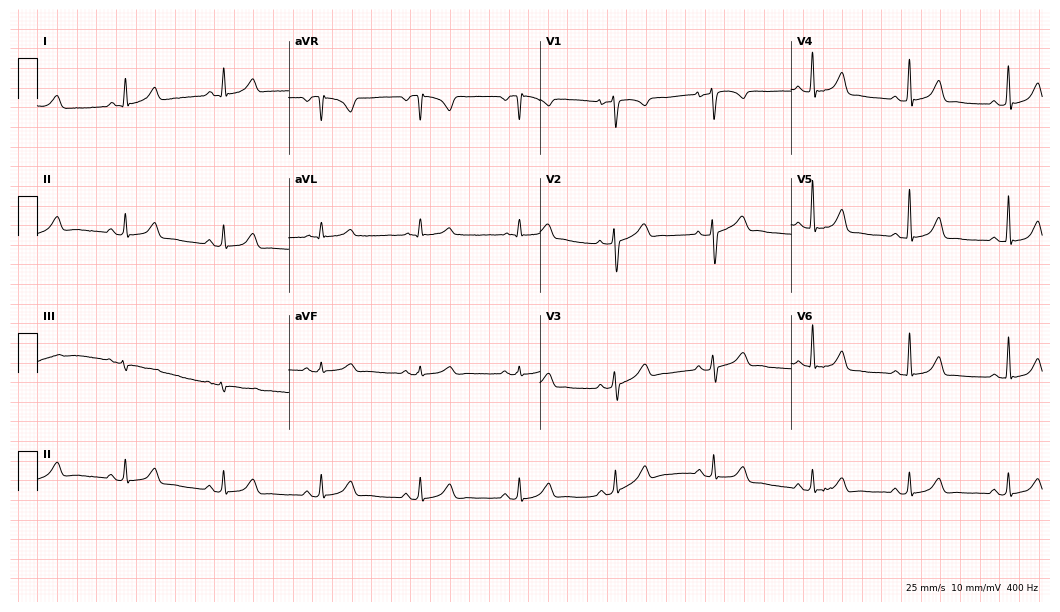
Standard 12-lead ECG recorded from a 39-year-old female (10.2-second recording at 400 Hz). Read as a normal ECG.